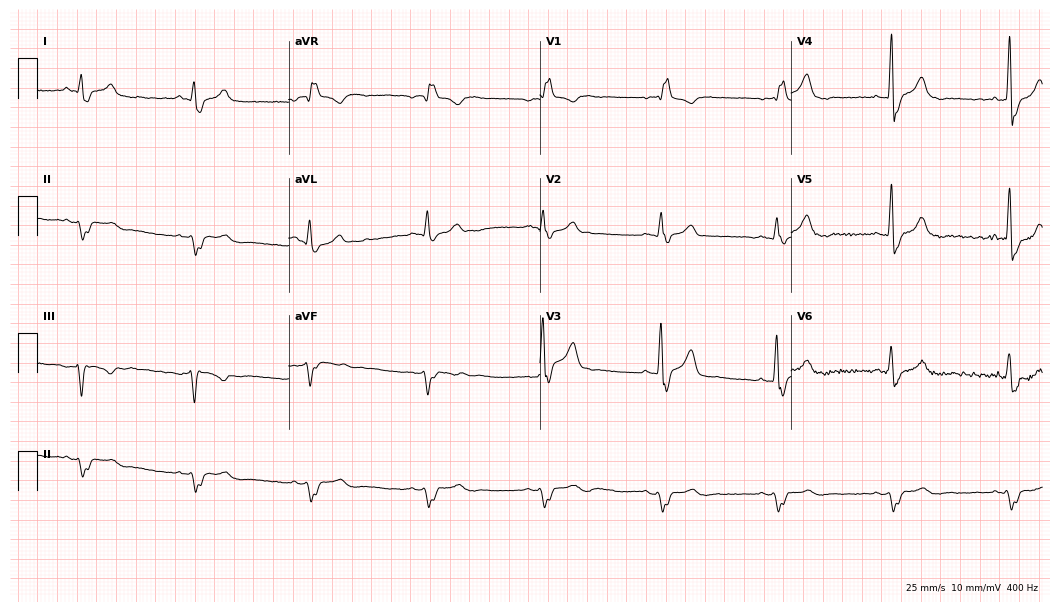
12-lead ECG (10.2-second recording at 400 Hz) from a male, 64 years old. Findings include right bundle branch block.